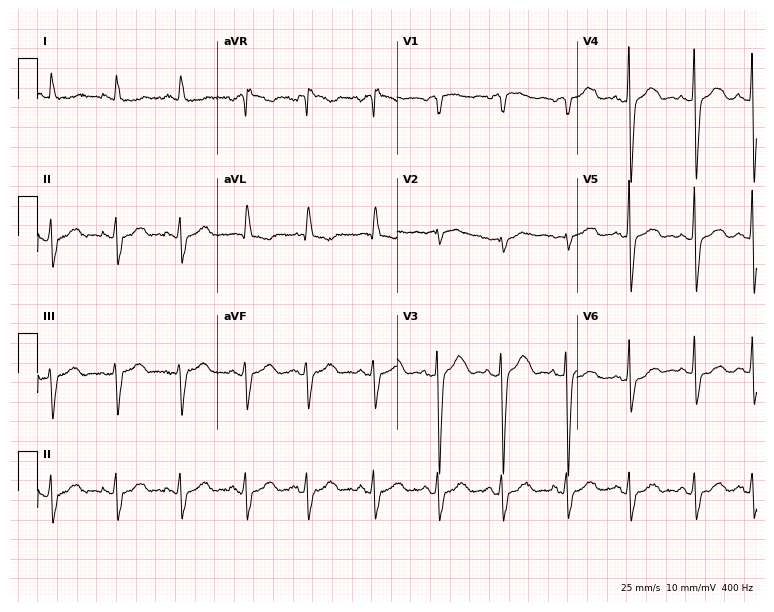
ECG (7.3-second recording at 400 Hz) — a woman, 80 years old. Screened for six findings — first-degree AV block, right bundle branch block, left bundle branch block, sinus bradycardia, atrial fibrillation, sinus tachycardia — none is recorded.